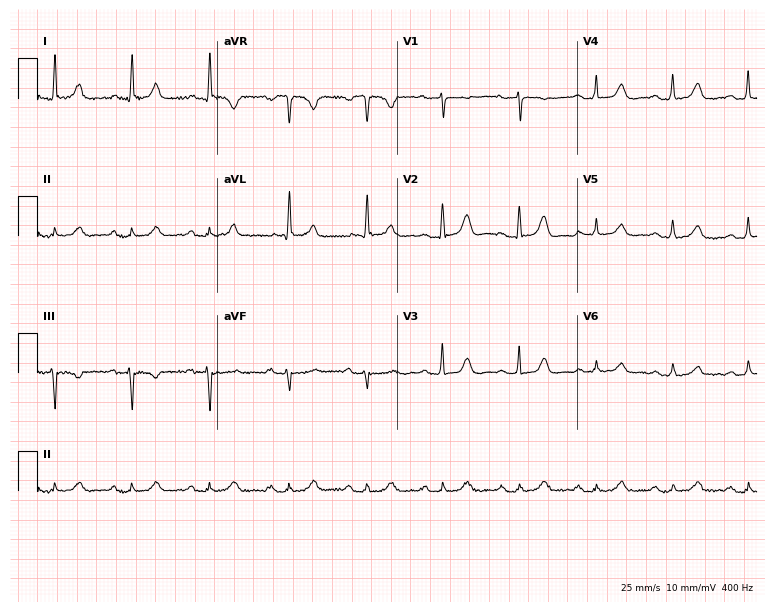
Standard 12-lead ECG recorded from a female, 83 years old (7.3-second recording at 400 Hz). Read as a normal ECG.